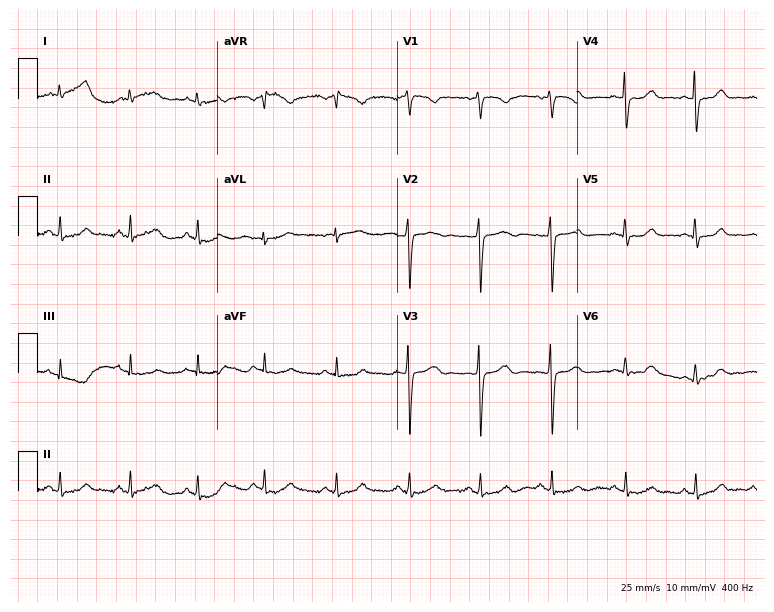
ECG (7.3-second recording at 400 Hz) — a 51-year-old female. Screened for six findings — first-degree AV block, right bundle branch block, left bundle branch block, sinus bradycardia, atrial fibrillation, sinus tachycardia — none is recorded.